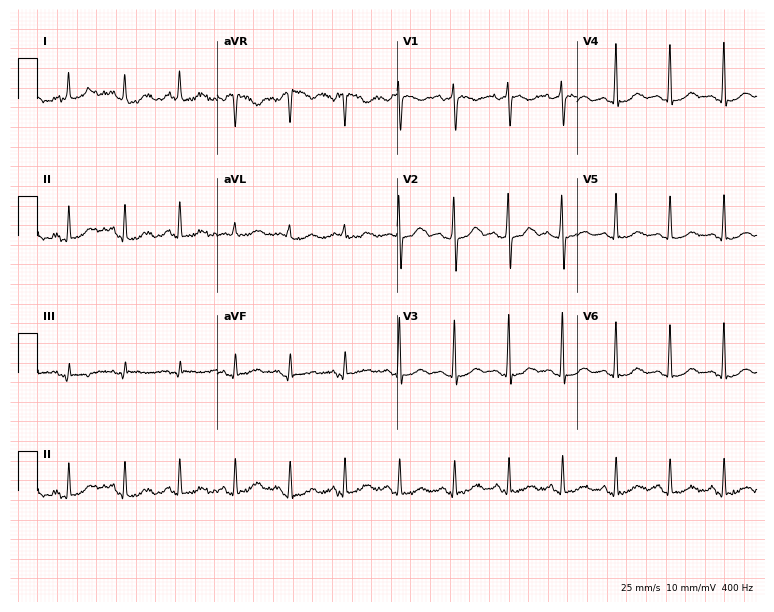
Standard 12-lead ECG recorded from a 23-year-old woman (7.3-second recording at 400 Hz). None of these six findings is recorded: first-degree AV block, right bundle branch block, left bundle branch block, sinus bradycardia, atrial fibrillation, sinus tachycardia.